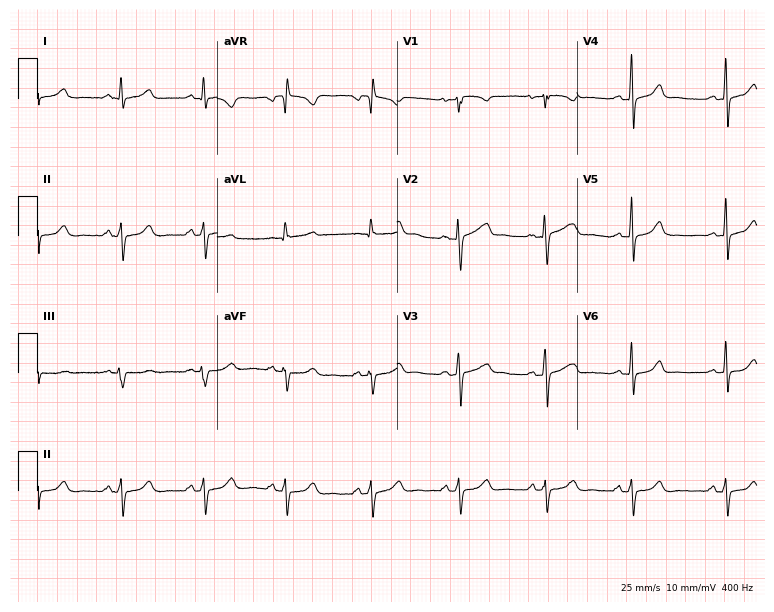
Electrocardiogram, a female, 33 years old. Overall reading on record: normal ECG.